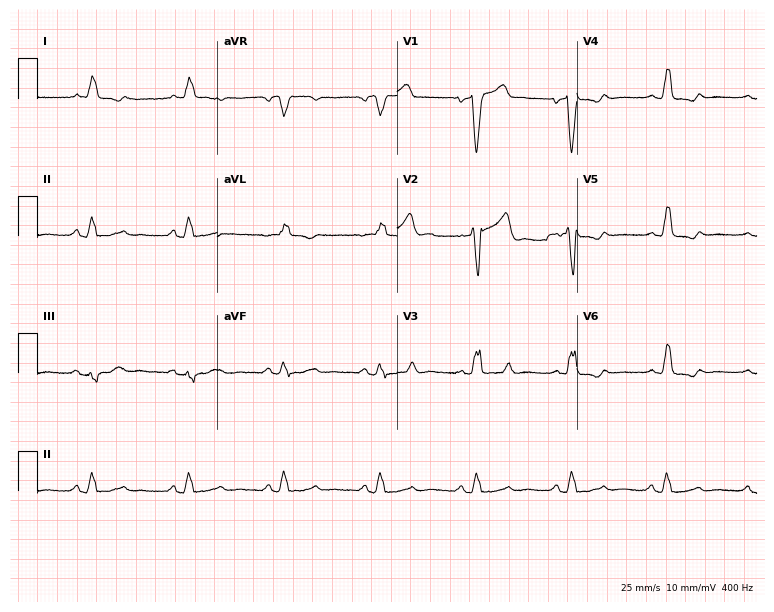
Standard 12-lead ECG recorded from an 85-year-old male patient. The tracing shows left bundle branch block.